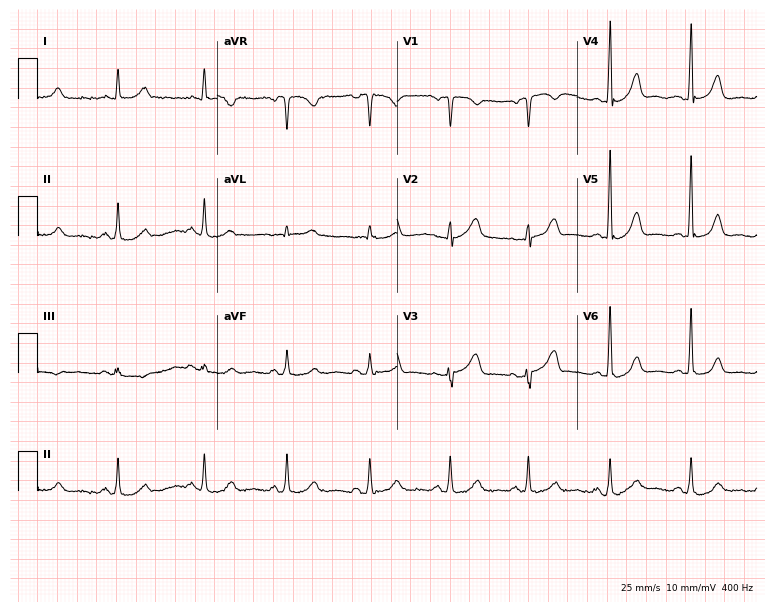
12-lead ECG from a woman, 55 years old. Recorded interpretation: within normal limits.